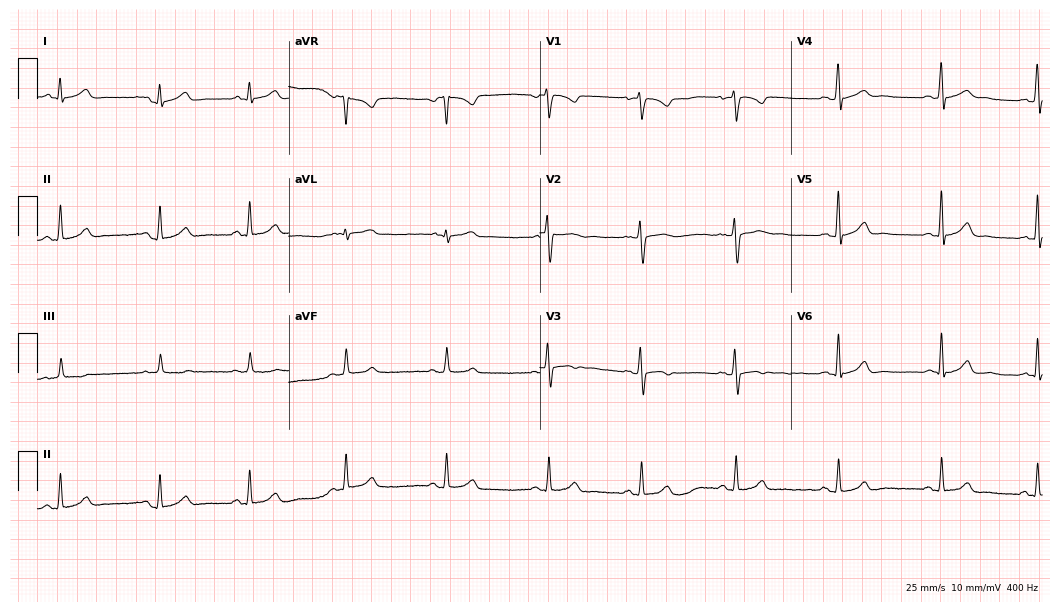
Resting 12-lead electrocardiogram (10.2-second recording at 400 Hz). Patient: a woman, 20 years old. Read as a normal ECG.